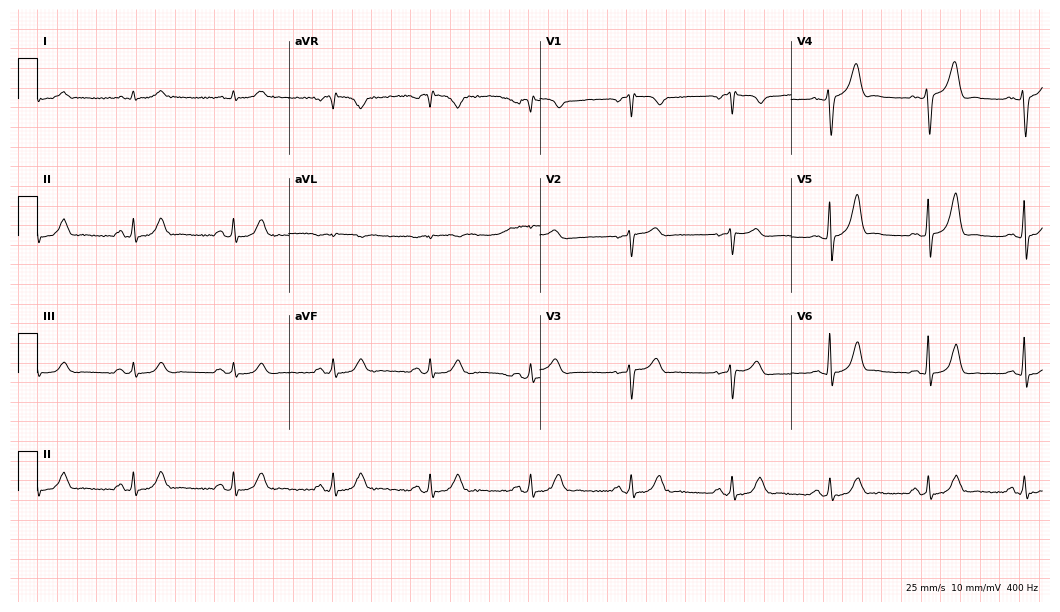
ECG (10.2-second recording at 400 Hz) — a male patient, 72 years old. Labelled as a normal ECG.